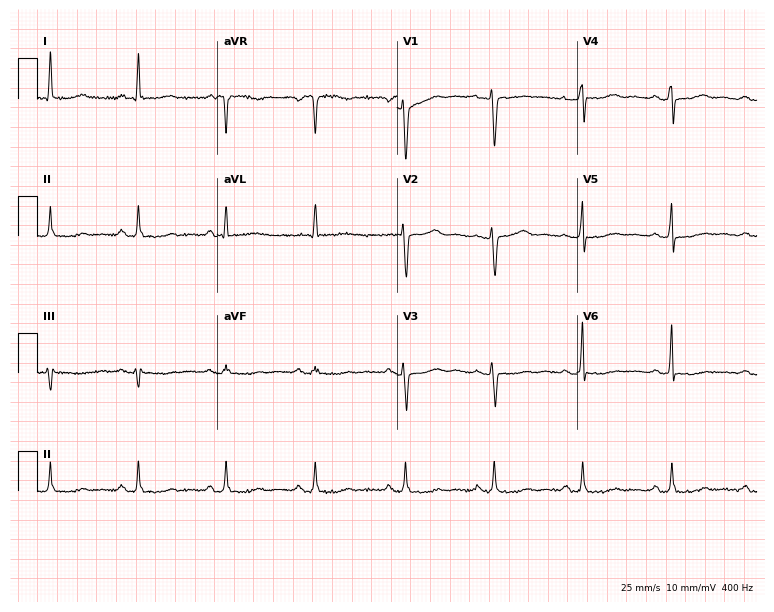
ECG (7.3-second recording at 400 Hz) — a female patient, 55 years old. Screened for six findings — first-degree AV block, right bundle branch block, left bundle branch block, sinus bradycardia, atrial fibrillation, sinus tachycardia — none is recorded. Findings outside these six are not listed.